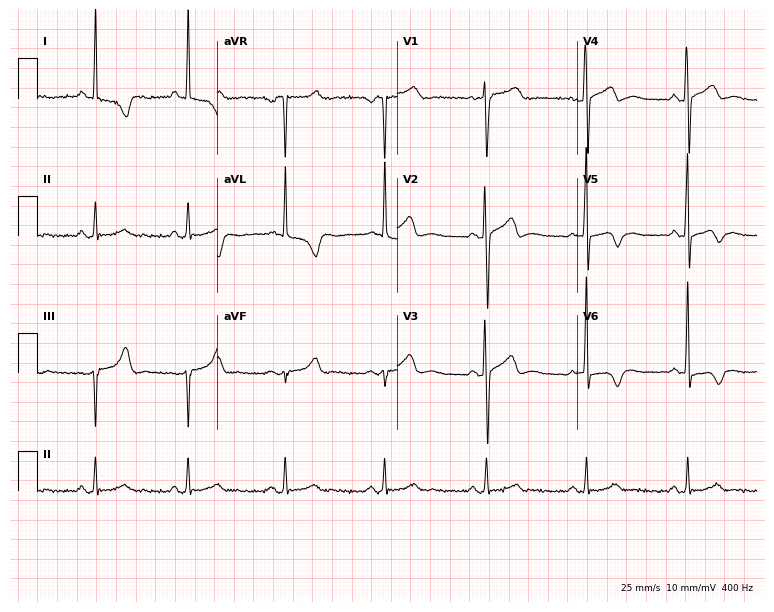
Electrocardiogram (7.3-second recording at 400 Hz), a male patient, 54 years old. Of the six screened findings (first-degree AV block, right bundle branch block, left bundle branch block, sinus bradycardia, atrial fibrillation, sinus tachycardia), none is recorded.